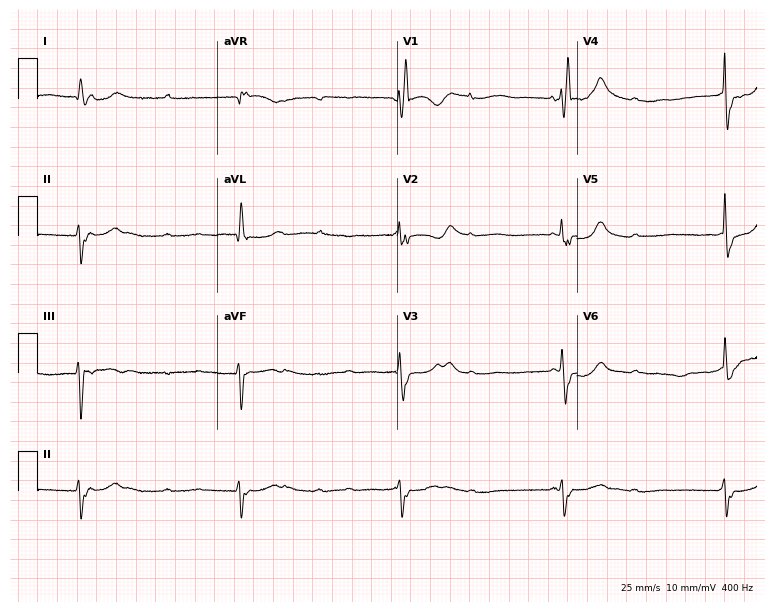
Electrocardiogram (7.3-second recording at 400 Hz), an 82-year-old woman. Interpretation includes right bundle branch block.